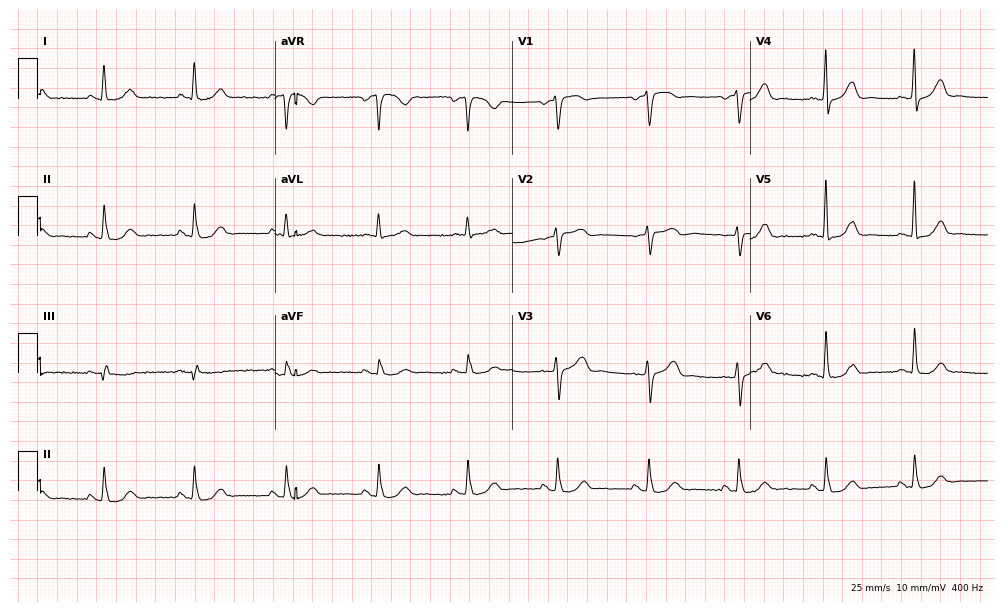
12-lead ECG from a 61-year-old female (9.7-second recording at 400 Hz). Recorded interpretation: within normal limits.